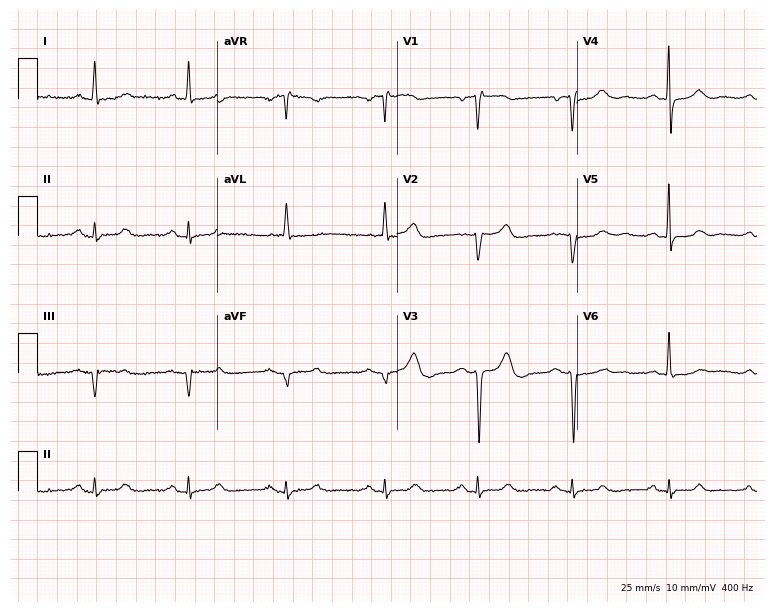
Electrocardiogram (7.3-second recording at 400 Hz), a 60-year-old woman. Of the six screened findings (first-degree AV block, right bundle branch block, left bundle branch block, sinus bradycardia, atrial fibrillation, sinus tachycardia), none is recorded. Other findings, if any, are not listed.